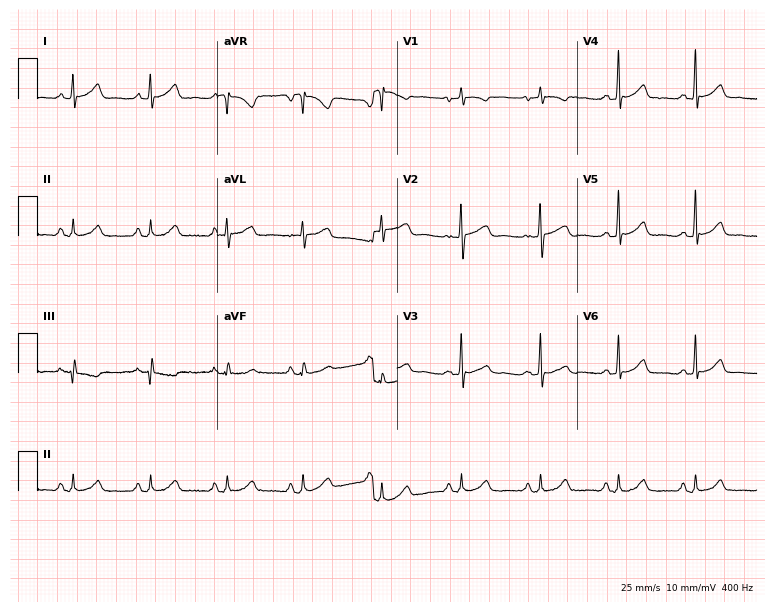
ECG — a 56-year-old female. Labelled as a normal ECG.